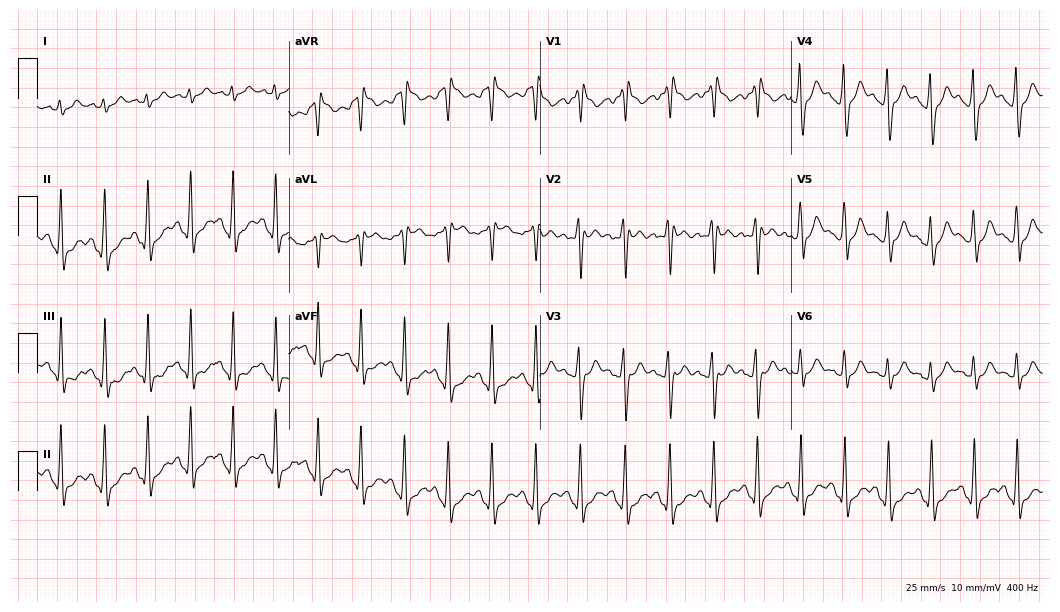
Standard 12-lead ECG recorded from a 21-year-old male patient. The tracing shows sinus tachycardia (a sinus rate of 100 beats per minute or more).